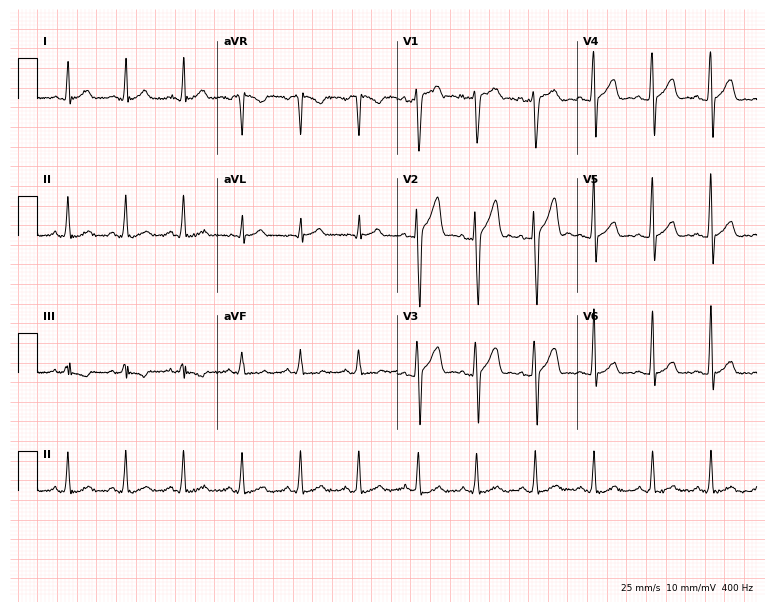
ECG (7.3-second recording at 400 Hz) — a man, 32 years old. Findings include sinus tachycardia (a sinus rate of 100 beats per minute or more).